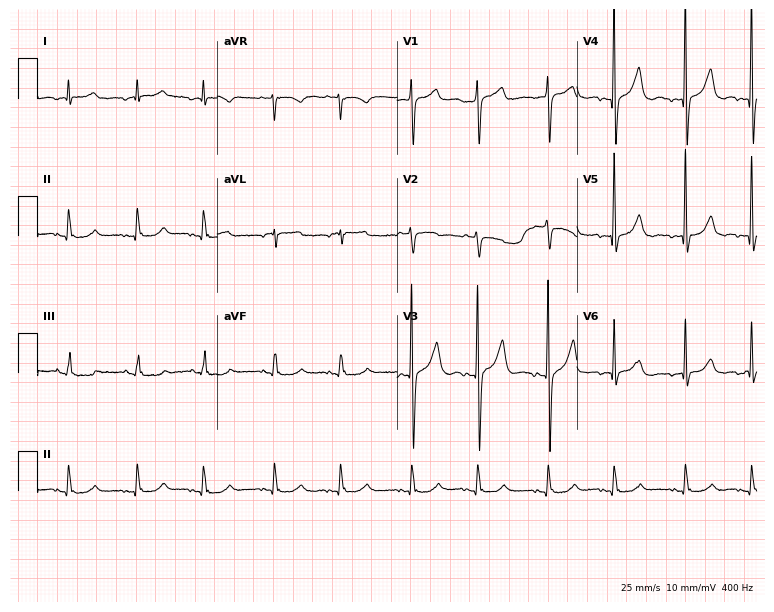
ECG — a male patient, 74 years old. Screened for six findings — first-degree AV block, right bundle branch block, left bundle branch block, sinus bradycardia, atrial fibrillation, sinus tachycardia — none is recorded.